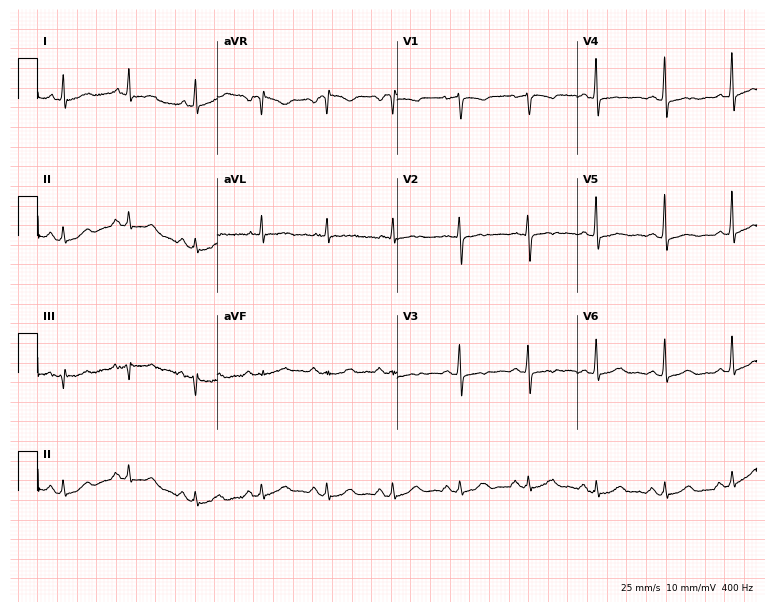
Standard 12-lead ECG recorded from a woman, 67 years old. None of these six findings is recorded: first-degree AV block, right bundle branch block (RBBB), left bundle branch block (LBBB), sinus bradycardia, atrial fibrillation (AF), sinus tachycardia. Other findings, if any, are not listed.